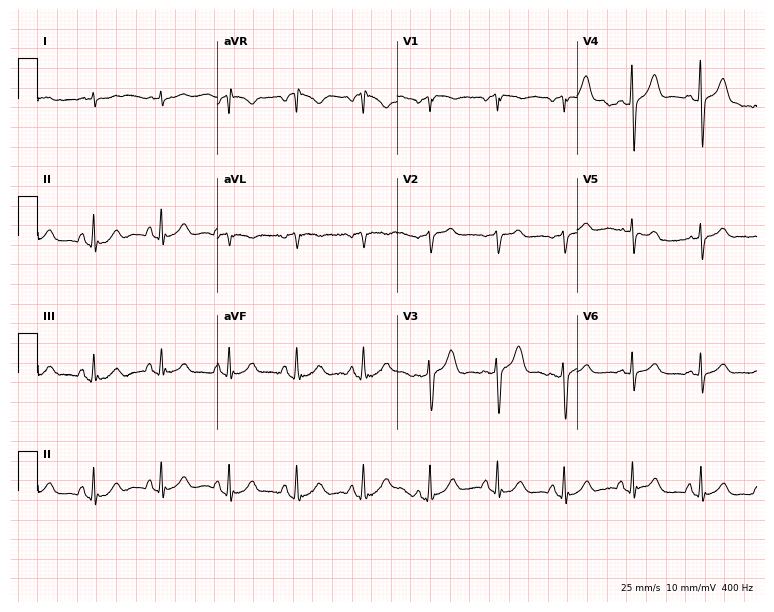
Resting 12-lead electrocardiogram (7.3-second recording at 400 Hz). Patient: a 70-year-old male. Read as a normal ECG.